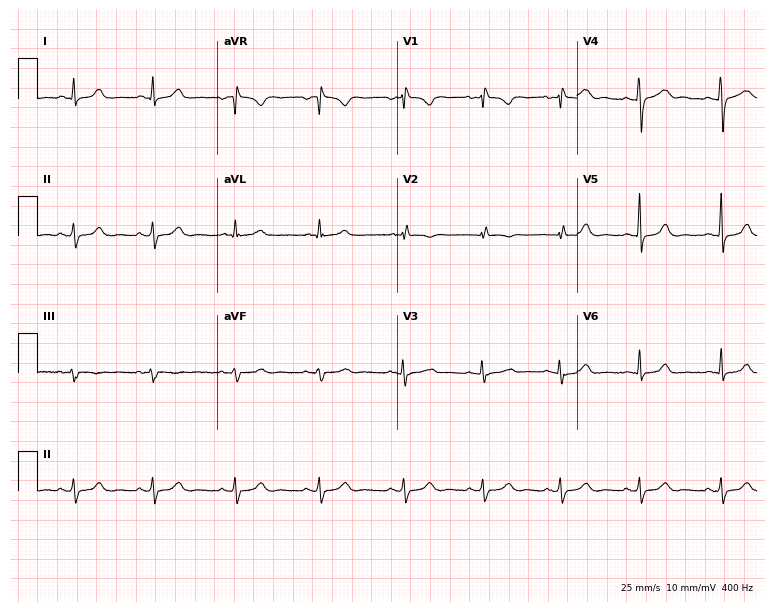
12-lead ECG from a 27-year-old female. Screened for six findings — first-degree AV block, right bundle branch block, left bundle branch block, sinus bradycardia, atrial fibrillation, sinus tachycardia — none is recorded. Findings outside these six are not listed.